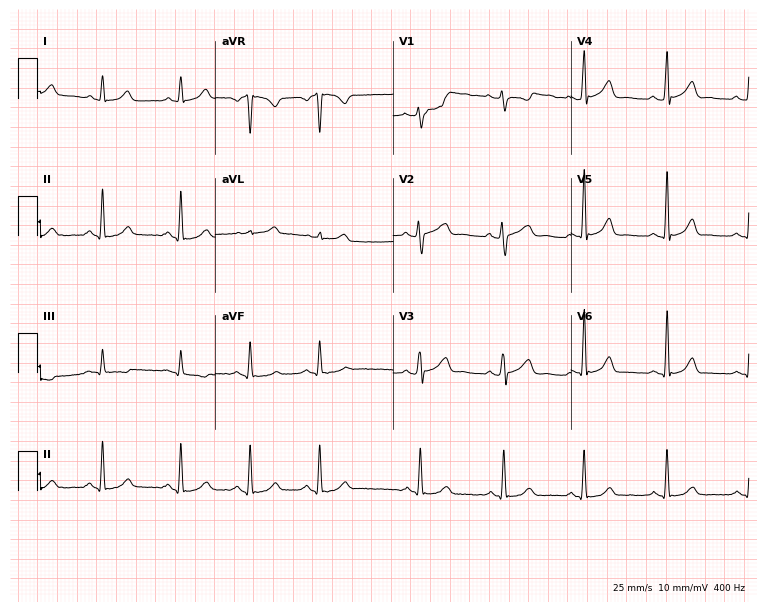
Electrocardiogram (7.3-second recording at 400 Hz), a female, 28 years old. Overall reading on record: normal ECG.